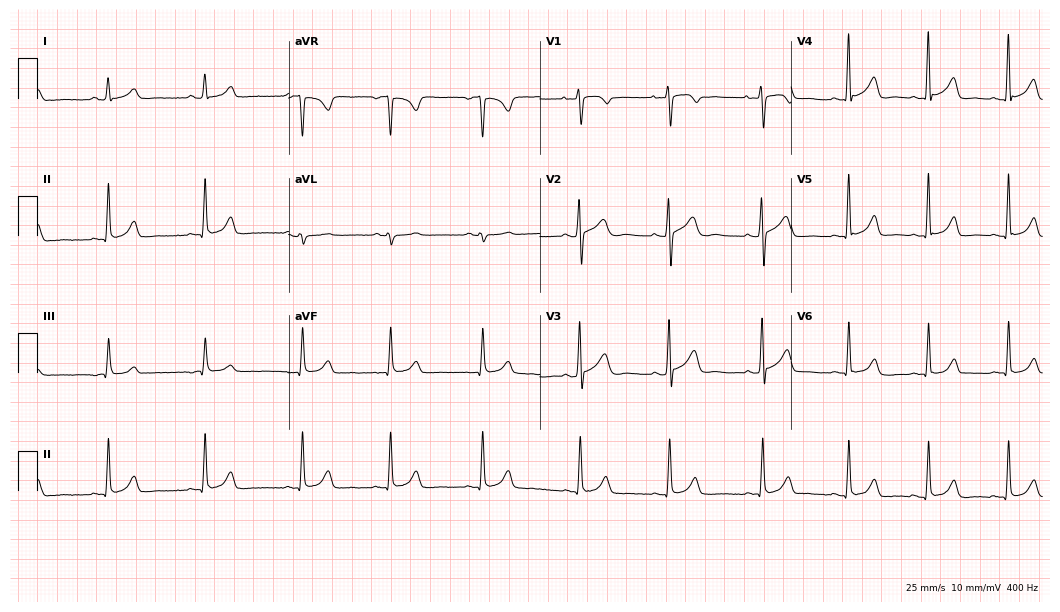
12-lead ECG from a 34-year-old female. Labelled as a normal ECG.